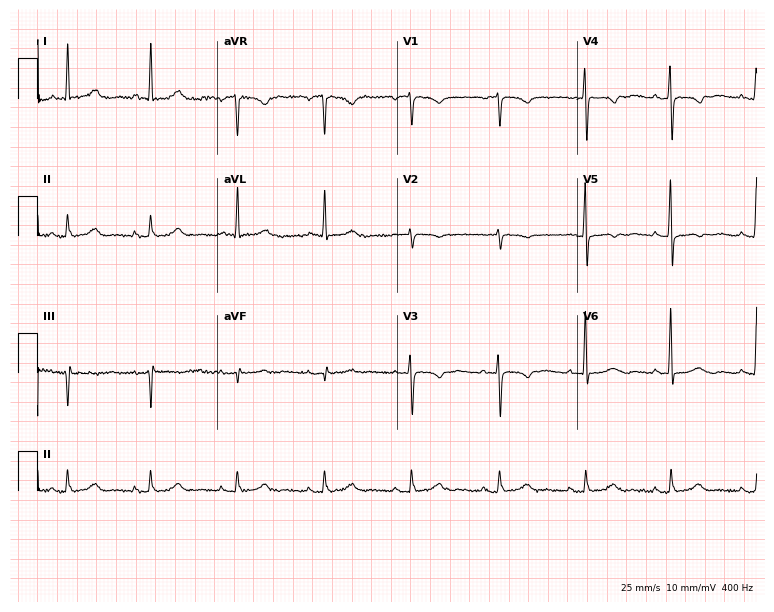
Electrocardiogram (7.3-second recording at 400 Hz), a 58-year-old woman. Overall reading on record: normal ECG.